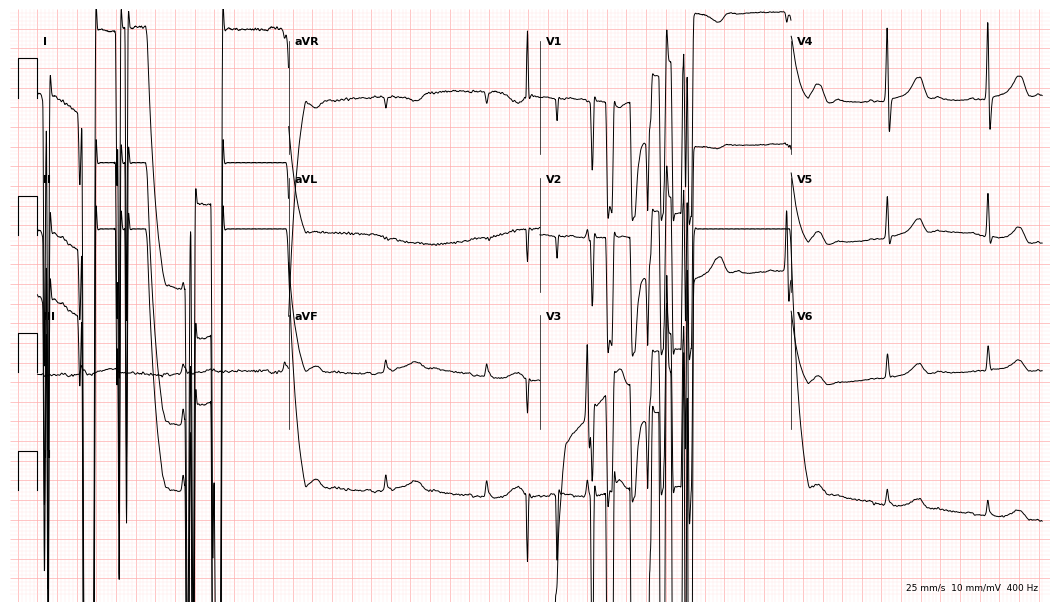
ECG — a 79-year-old male. Screened for six findings — first-degree AV block, right bundle branch block, left bundle branch block, sinus bradycardia, atrial fibrillation, sinus tachycardia — none is recorded.